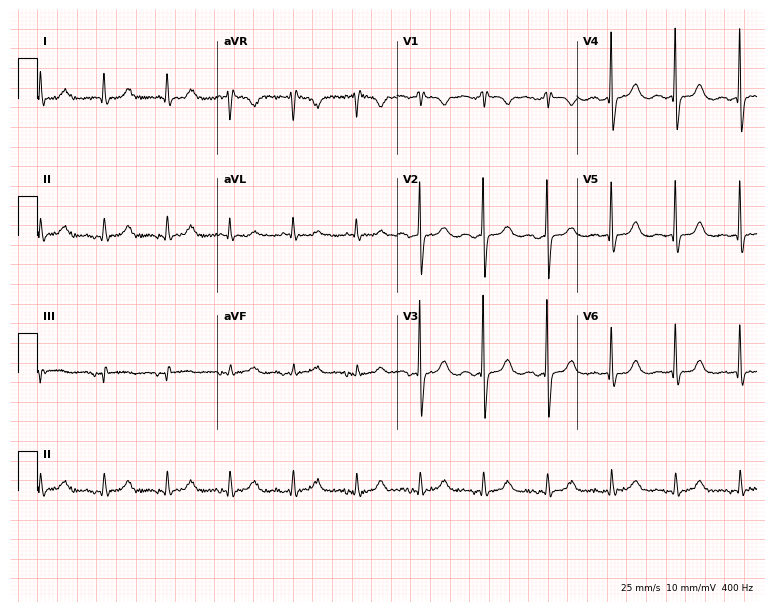
Electrocardiogram (7.3-second recording at 400 Hz), a female, 78 years old. Of the six screened findings (first-degree AV block, right bundle branch block, left bundle branch block, sinus bradycardia, atrial fibrillation, sinus tachycardia), none is recorded. Other findings, if any, are not listed.